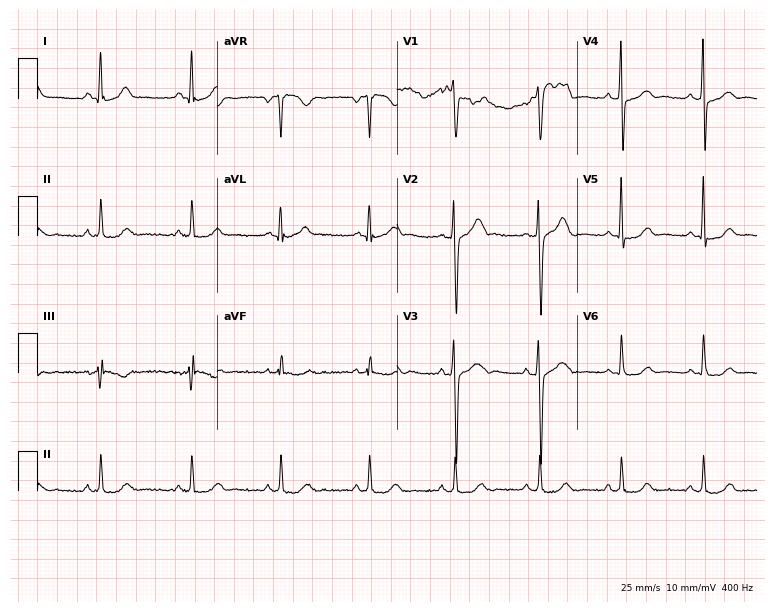
12-lead ECG from a 30-year-old male (7.3-second recording at 400 Hz). No first-degree AV block, right bundle branch block, left bundle branch block, sinus bradycardia, atrial fibrillation or sinus tachycardia recorded for this tracing. Only these six findings were labelled.